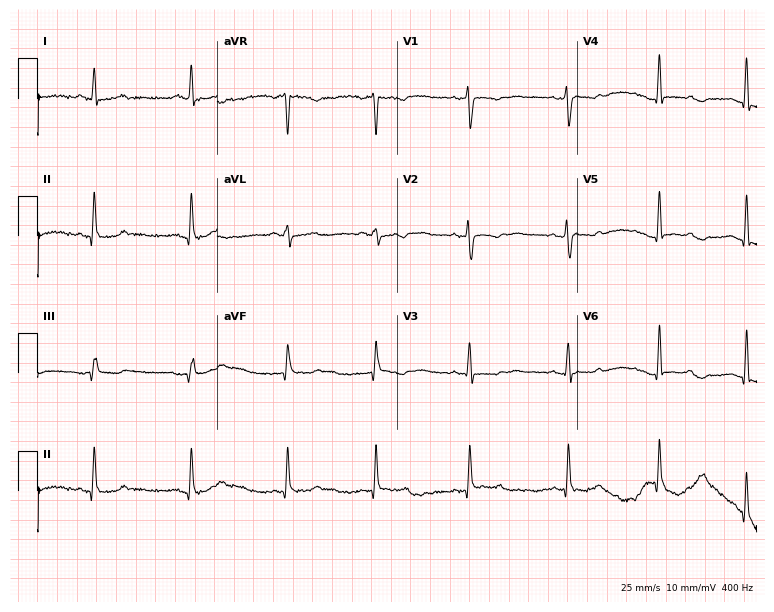
Electrocardiogram, a female, 41 years old. Of the six screened findings (first-degree AV block, right bundle branch block (RBBB), left bundle branch block (LBBB), sinus bradycardia, atrial fibrillation (AF), sinus tachycardia), none is recorded.